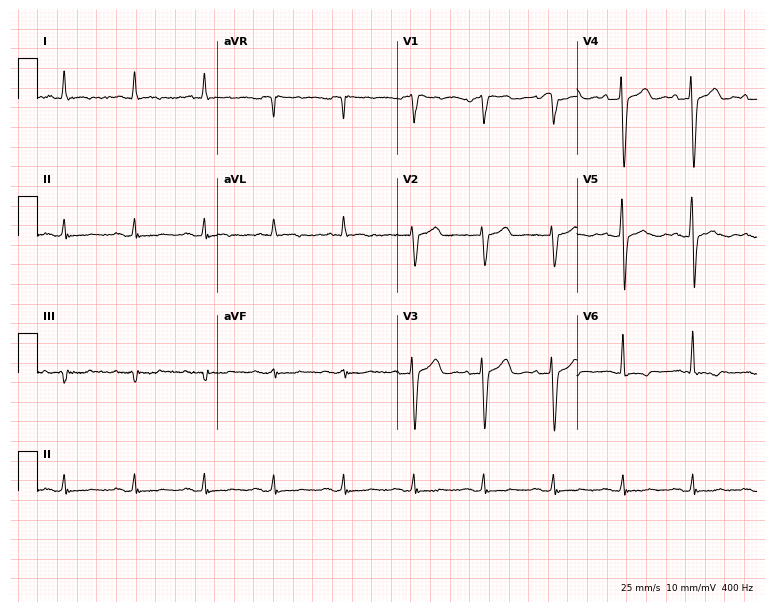
Standard 12-lead ECG recorded from an 83-year-old man. None of these six findings is recorded: first-degree AV block, right bundle branch block (RBBB), left bundle branch block (LBBB), sinus bradycardia, atrial fibrillation (AF), sinus tachycardia. Only these six findings were labelled.